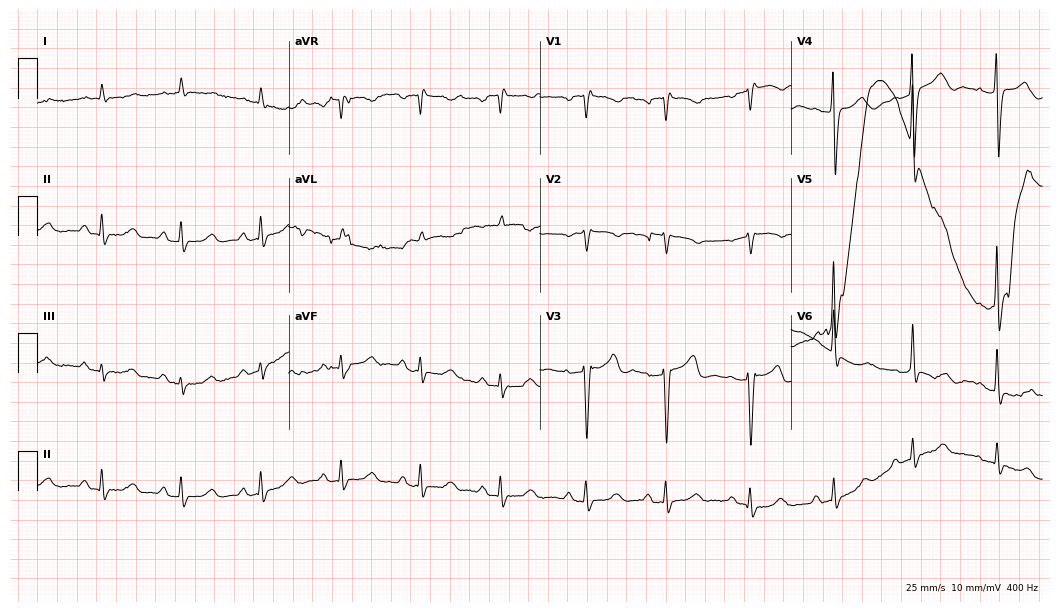
12-lead ECG (10.2-second recording at 400 Hz) from a 79-year-old male patient. Screened for six findings — first-degree AV block, right bundle branch block, left bundle branch block, sinus bradycardia, atrial fibrillation, sinus tachycardia — none is recorded. Other findings, if any, are not listed.